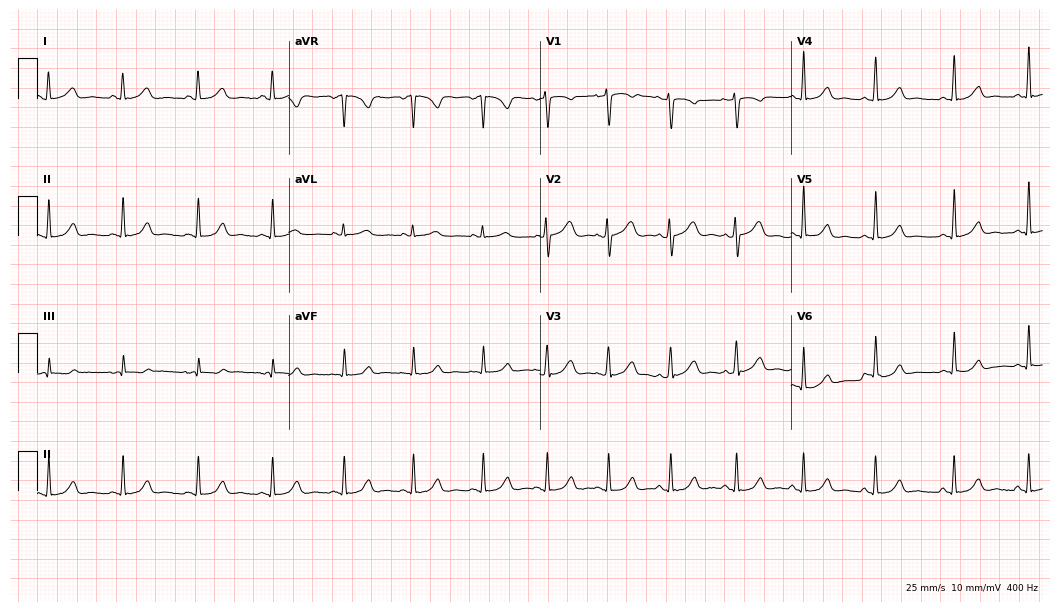
ECG — a female patient, 37 years old. Screened for six findings — first-degree AV block, right bundle branch block, left bundle branch block, sinus bradycardia, atrial fibrillation, sinus tachycardia — none is recorded.